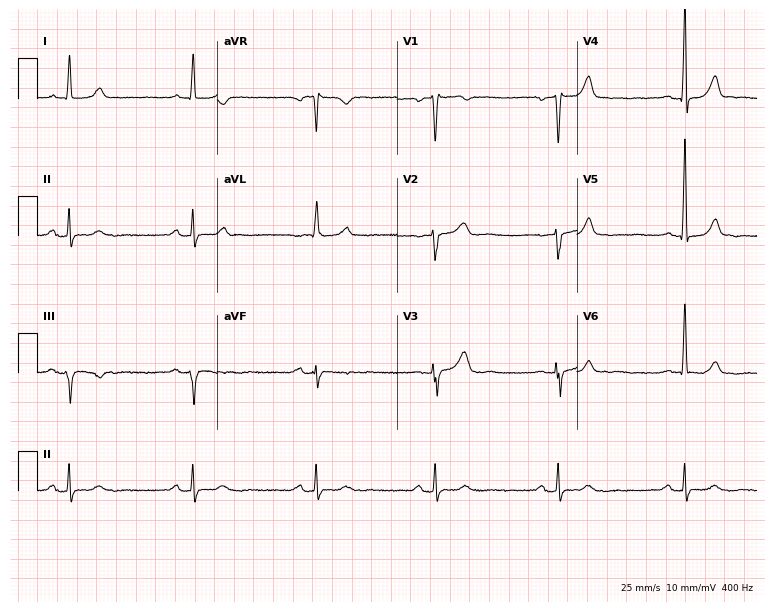
Resting 12-lead electrocardiogram. Patient: a man, 69 years old. The tracing shows sinus bradycardia (a sinus rate of 50 beats per minute or less).